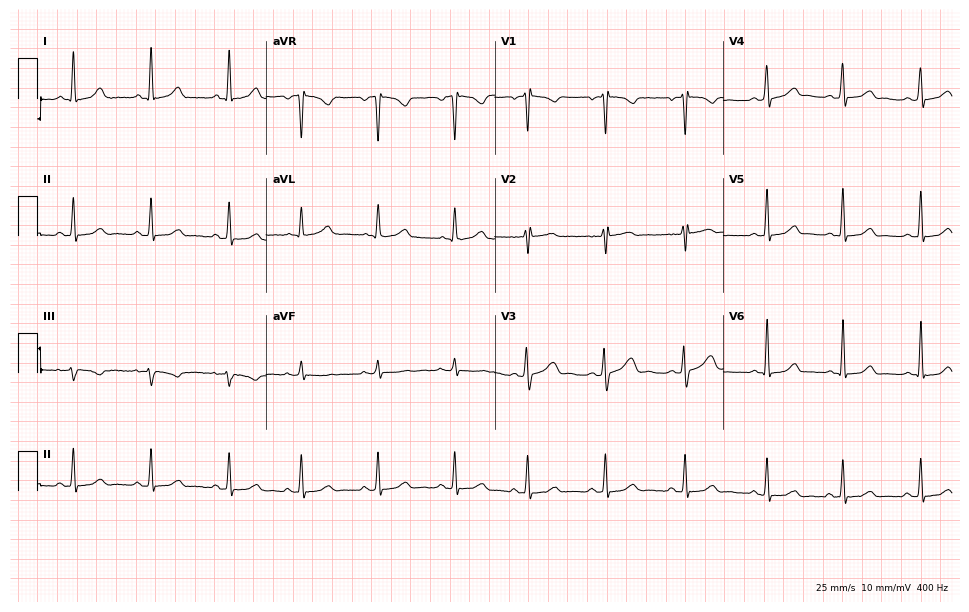
12-lead ECG (9.3-second recording at 400 Hz) from a 33-year-old female. Screened for six findings — first-degree AV block, right bundle branch block, left bundle branch block, sinus bradycardia, atrial fibrillation, sinus tachycardia — none is recorded. Only these six findings were labelled.